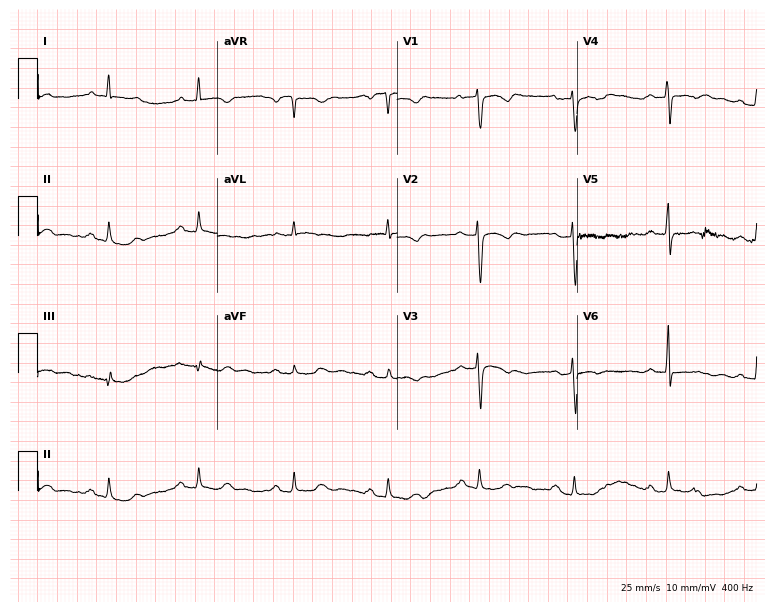
12-lead ECG (7.3-second recording at 400 Hz) from a 66-year-old female. Screened for six findings — first-degree AV block, right bundle branch block, left bundle branch block, sinus bradycardia, atrial fibrillation, sinus tachycardia — none is recorded. Only these six findings were labelled.